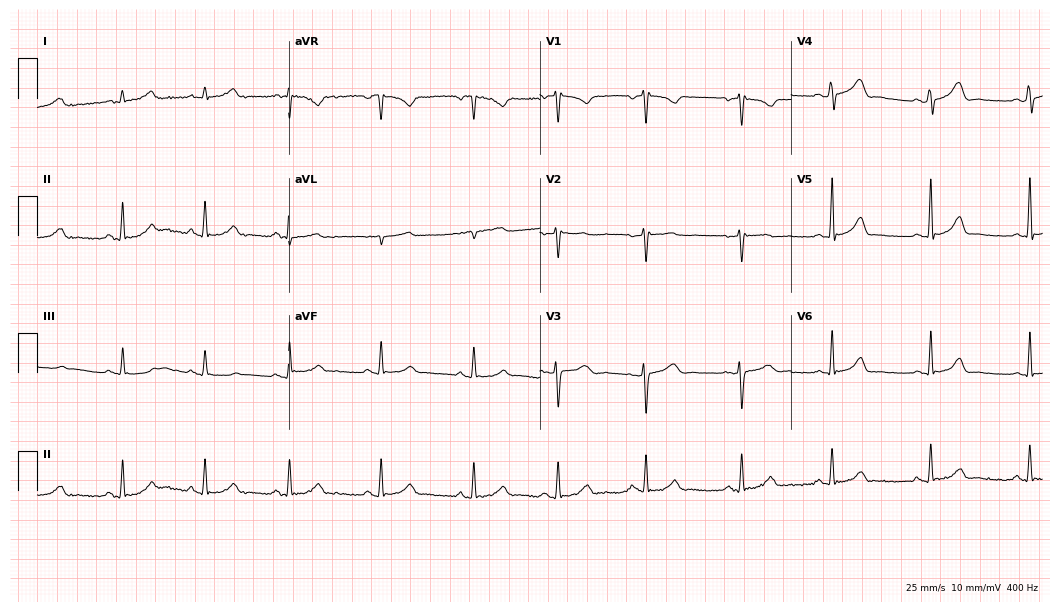
Electrocardiogram (10.2-second recording at 400 Hz), a female patient, 24 years old. Of the six screened findings (first-degree AV block, right bundle branch block, left bundle branch block, sinus bradycardia, atrial fibrillation, sinus tachycardia), none is recorded. Other findings, if any, are not listed.